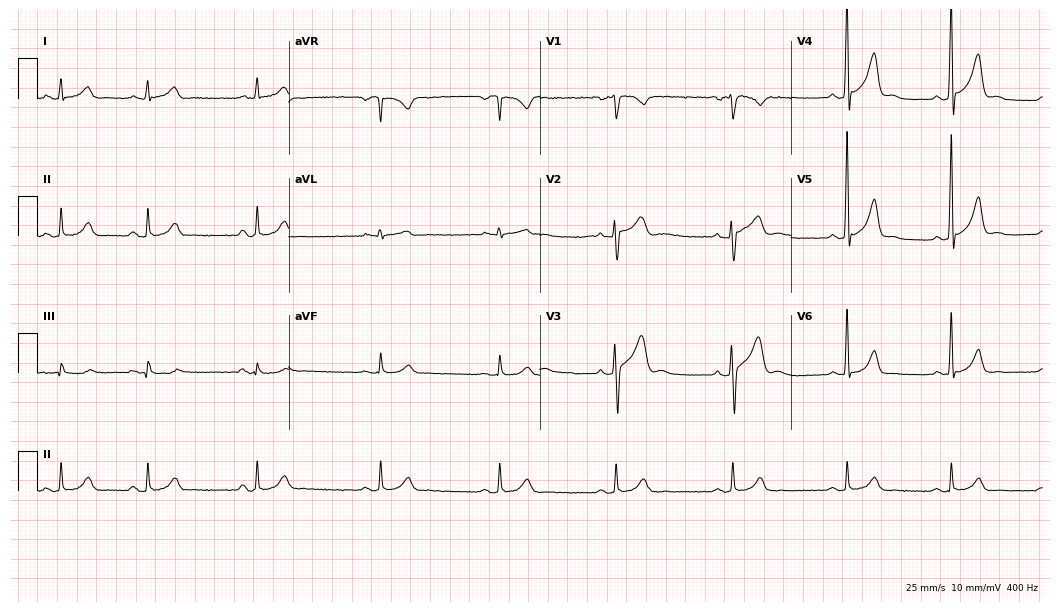
Standard 12-lead ECG recorded from a 28-year-old male patient (10.2-second recording at 400 Hz). None of these six findings is recorded: first-degree AV block, right bundle branch block, left bundle branch block, sinus bradycardia, atrial fibrillation, sinus tachycardia.